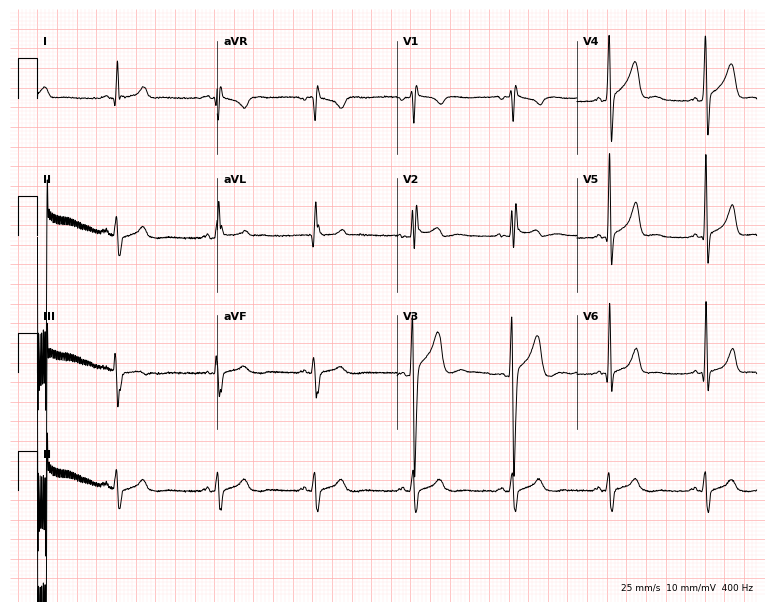
Electrocardiogram, a 22-year-old male patient. Of the six screened findings (first-degree AV block, right bundle branch block (RBBB), left bundle branch block (LBBB), sinus bradycardia, atrial fibrillation (AF), sinus tachycardia), none is recorded. Other findings, if any, are not listed.